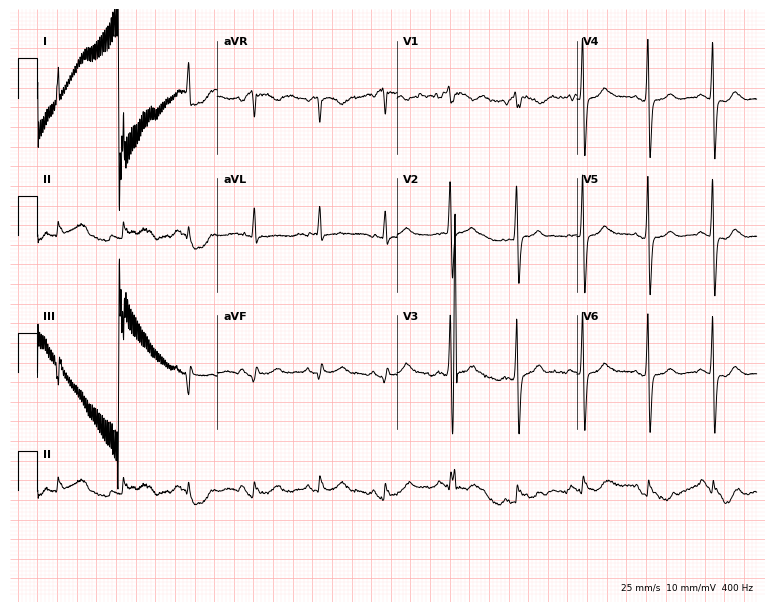
Resting 12-lead electrocardiogram (7.3-second recording at 400 Hz). Patient: a 70-year-old woman. None of these six findings is recorded: first-degree AV block, right bundle branch block, left bundle branch block, sinus bradycardia, atrial fibrillation, sinus tachycardia.